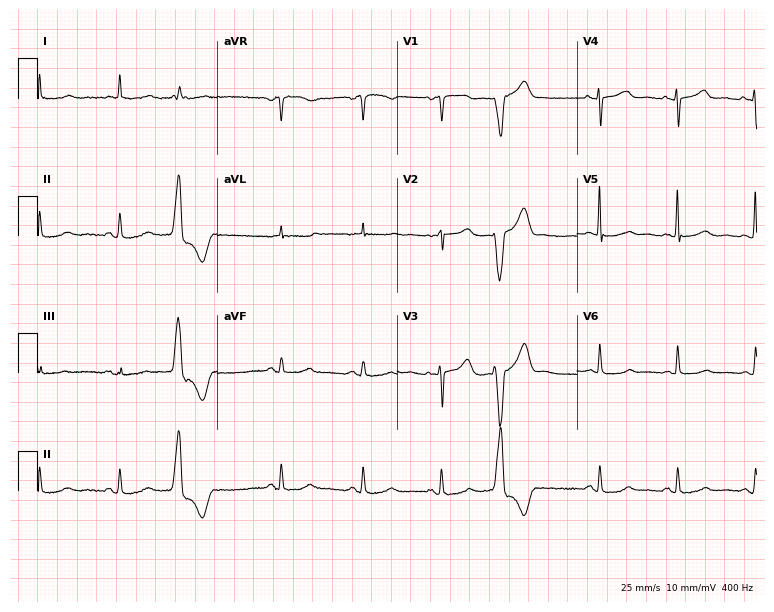
12-lead ECG from a woman, 77 years old. Screened for six findings — first-degree AV block, right bundle branch block, left bundle branch block, sinus bradycardia, atrial fibrillation, sinus tachycardia — none is recorded. Findings outside these six are not listed.